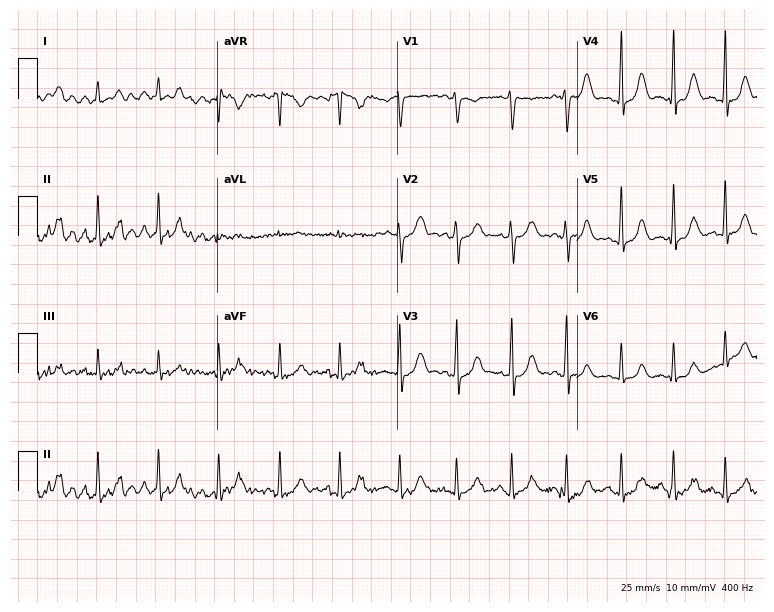
Standard 12-lead ECG recorded from an 18-year-old woman (7.3-second recording at 400 Hz). None of these six findings is recorded: first-degree AV block, right bundle branch block (RBBB), left bundle branch block (LBBB), sinus bradycardia, atrial fibrillation (AF), sinus tachycardia.